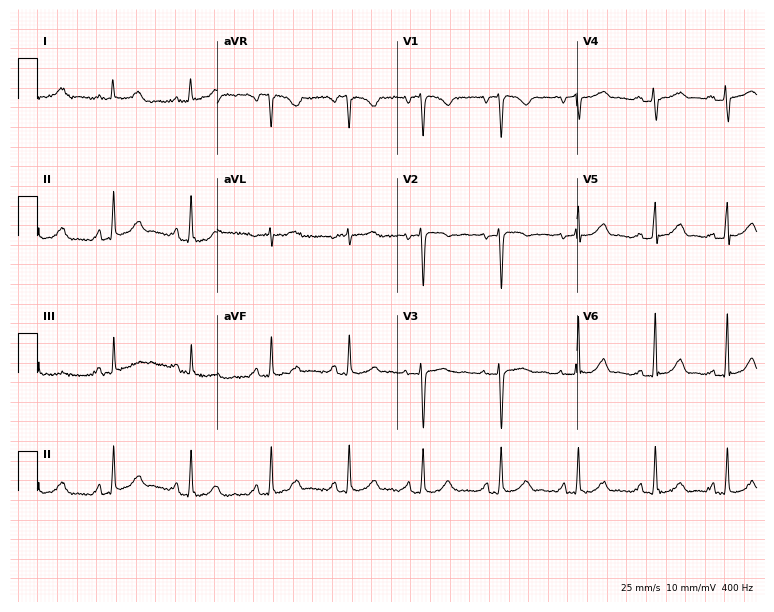
12-lead ECG from a woman, 33 years old. Recorded interpretation: within normal limits.